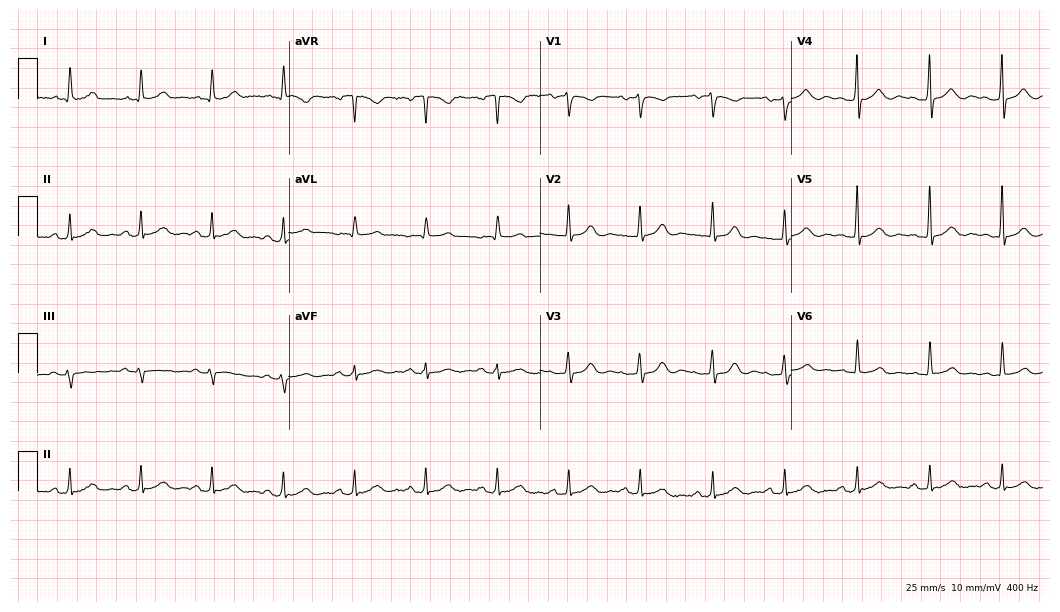
Electrocardiogram (10.2-second recording at 400 Hz), a 77-year-old male patient. Overall reading on record: normal ECG.